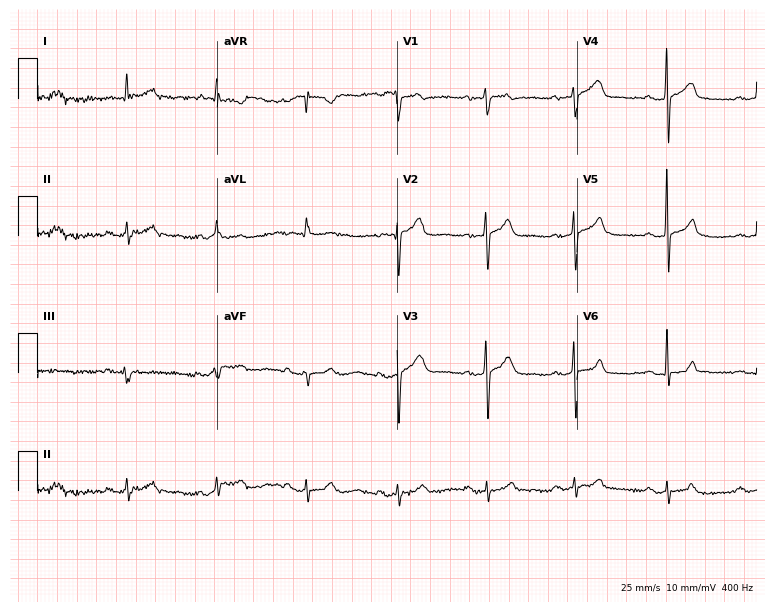
ECG (7.3-second recording at 400 Hz) — a 57-year-old male patient. Screened for six findings — first-degree AV block, right bundle branch block, left bundle branch block, sinus bradycardia, atrial fibrillation, sinus tachycardia — none is recorded.